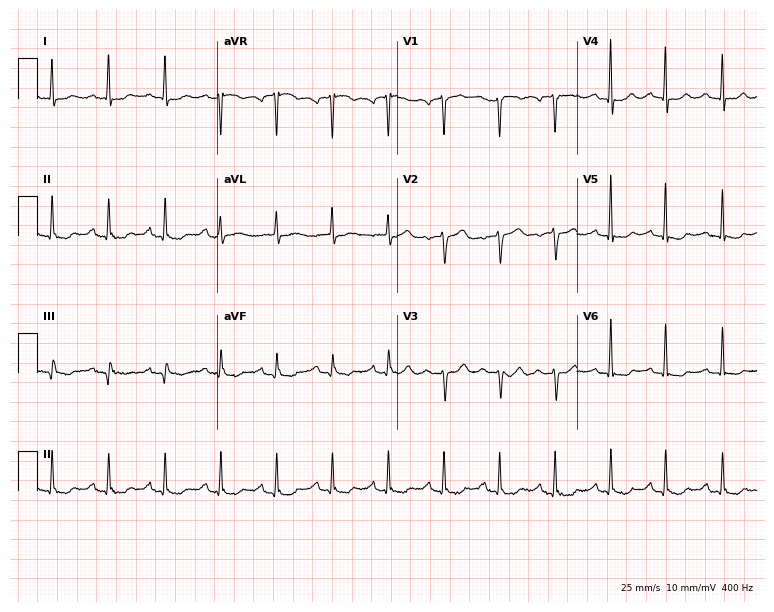
Standard 12-lead ECG recorded from a 48-year-old female patient. None of these six findings is recorded: first-degree AV block, right bundle branch block, left bundle branch block, sinus bradycardia, atrial fibrillation, sinus tachycardia. Only these six findings were labelled.